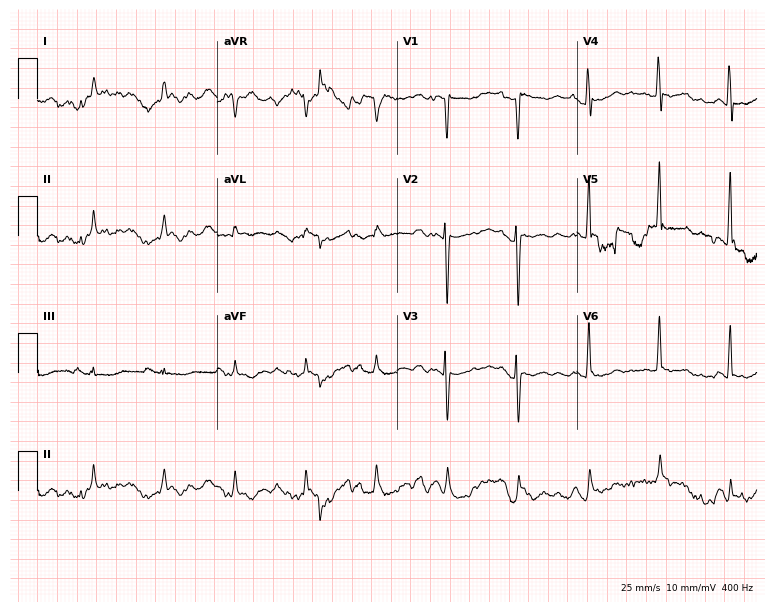
Standard 12-lead ECG recorded from a female, 58 years old. None of these six findings is recorded: first-degree AV block, right bundle branch block, left bundle branch block, sinus bradycardia, atrial fibrillation, sinus tachycardia.